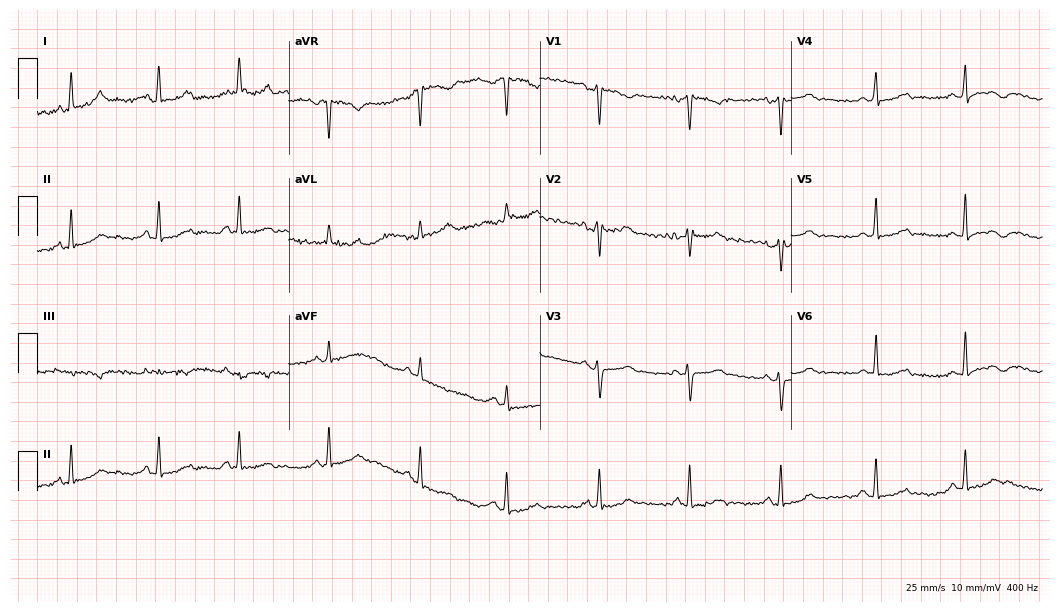
12-lead ECG from a 33-year-old female patient. Recorded interpretation: within normal limits.